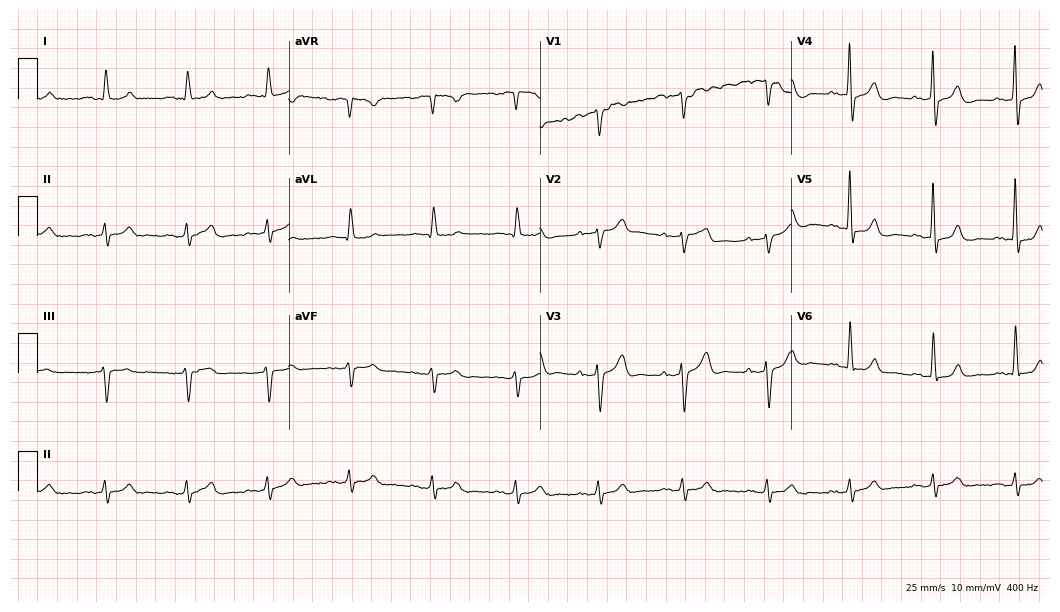
12-lead ECG from a male, 81 years old. Recorded interpretation: within normal limits.